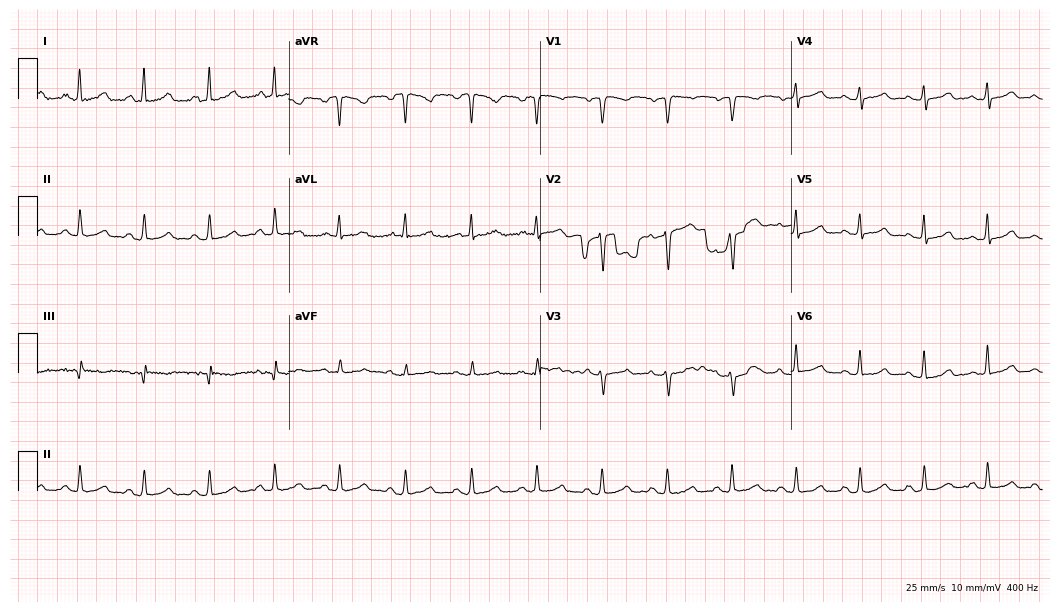
Electrocardiogram (10.2-second recording at 400 Hz), a female, 47 years old. Overall reading on record: normal ECG.